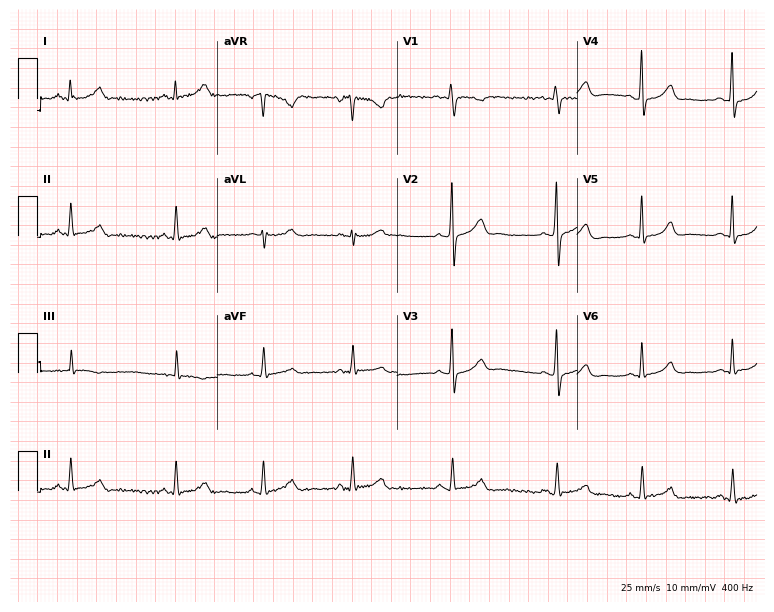
12-lead ECG (7.3-second recording at 400 Hz) from a female patient, 38 years old. Screened for six findings — first-degree AV block, right bundle branch block (RBBB), left bundle branch block (LBBB), sinus bradycardia, atrial fibrillation (AF), sinus tachycardia — none is recorded.